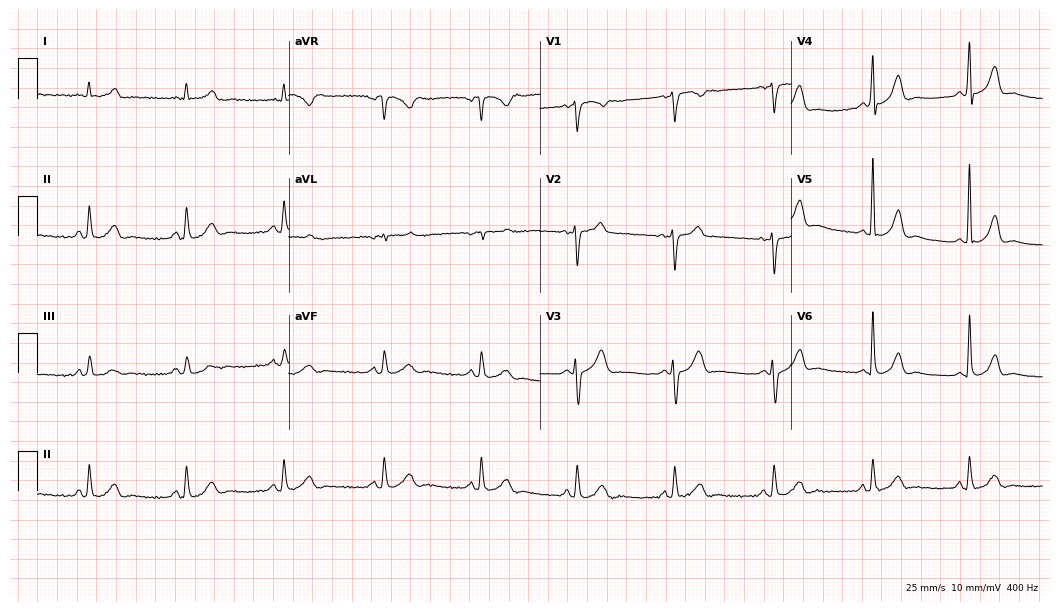
Resting 12-lead electrocardiogram. Patient: a female, 51 years old. Read as a normal ECG.